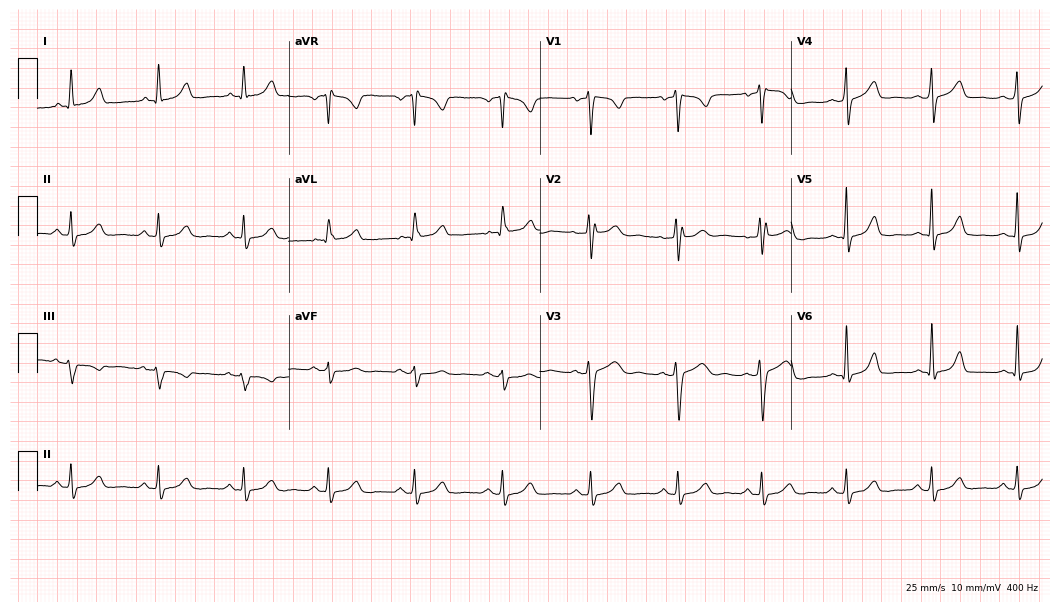
Standard 12-lead ECG recorded from a 32-year-old female (10.2-second recording at 400 Hz). None of these six findings is recorded: first-degree AV block, right bundle branch block (RBBB), left bundle branch block (LBBB), sinus bradycardia, atrial fibrillation (AF), sinus tachycardia.